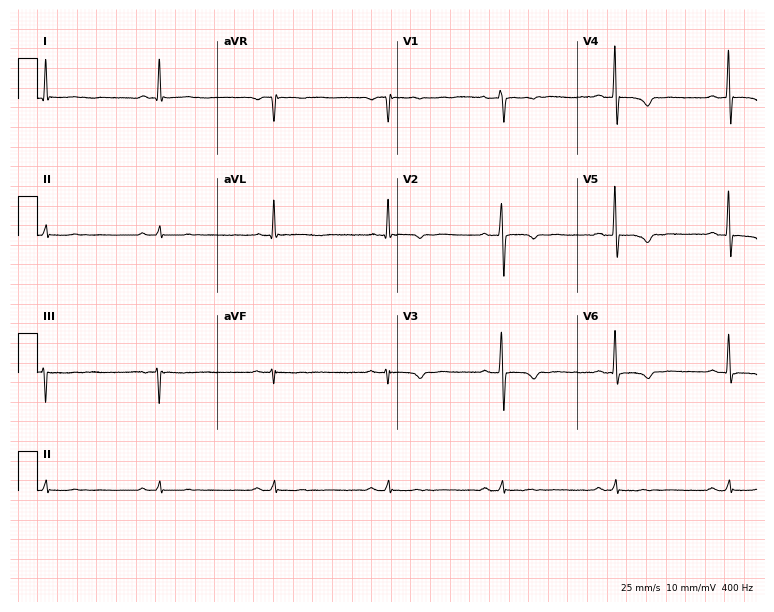
12-lead ECG from an 80-year-old male patient. Screened for six findings — first-degree AV block, right bundle branch block, left bundle branch block, sinus bradycardia, atrial fibrillation, sinus tachycardia — none is recorded. Only these six findings were labelled.